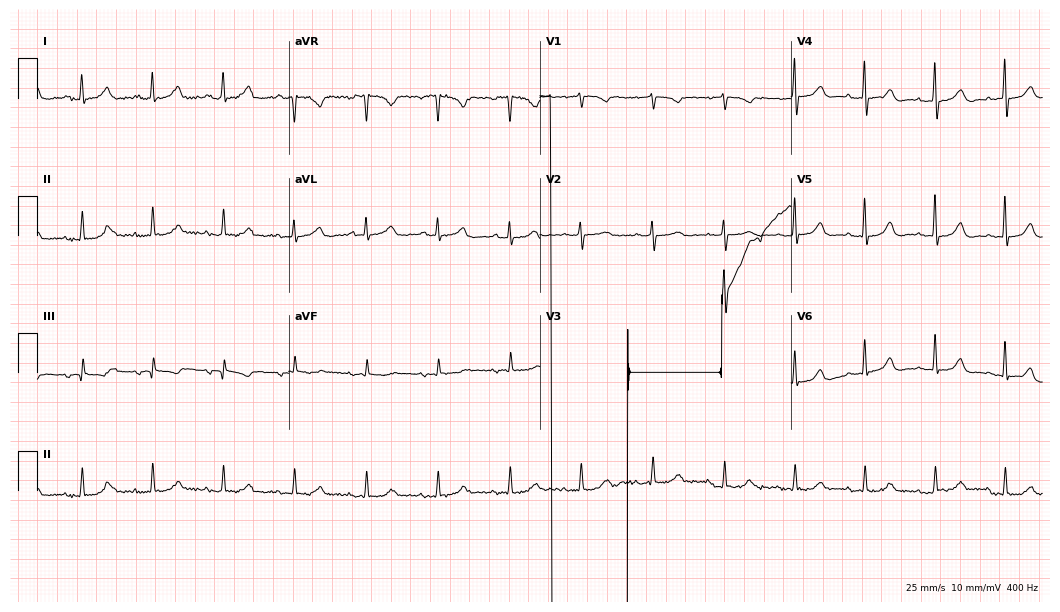
Resting 12-lead electrocardiogram. Patient: an 82-year-old woman. None of these six findings is recorded: first-degree AV block, right bundle branch block, left bundle branch block, sinus bradycardia, atrial fibrillation, sinus tachycardia. Findings outside these six are not listed.